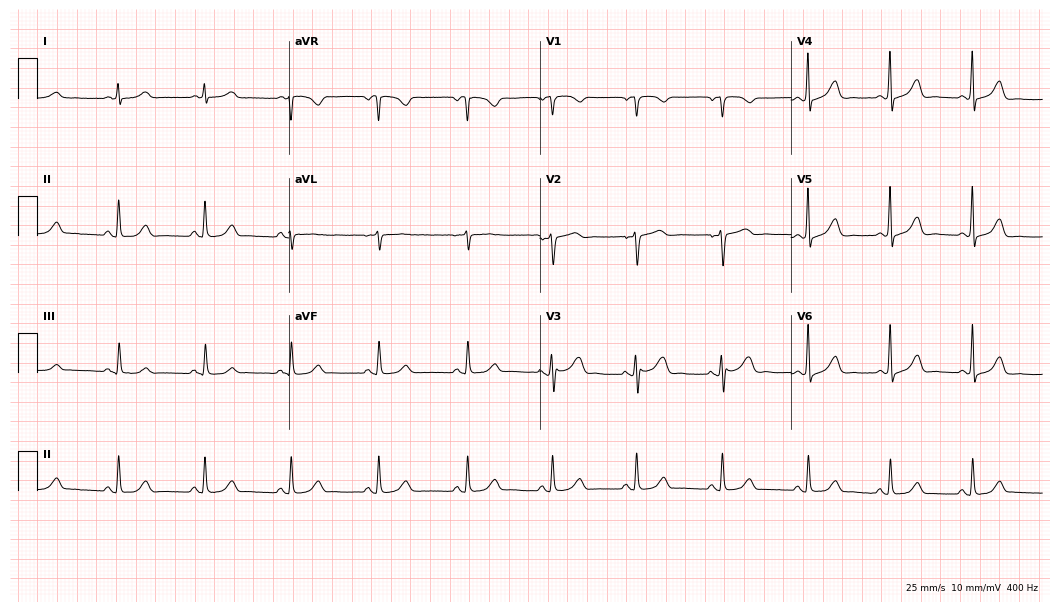
12-lead ECG (10.2-second recording at 400 Hz) from a 68-year-old female. Labelled as a normal ECG.